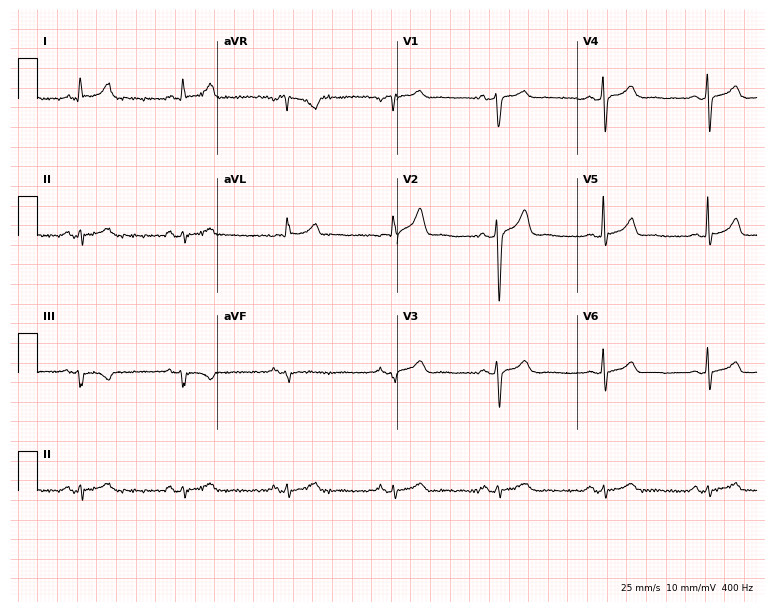
12-lead ECG from a 58-year-old male patient. Labelled as a normal ECG.